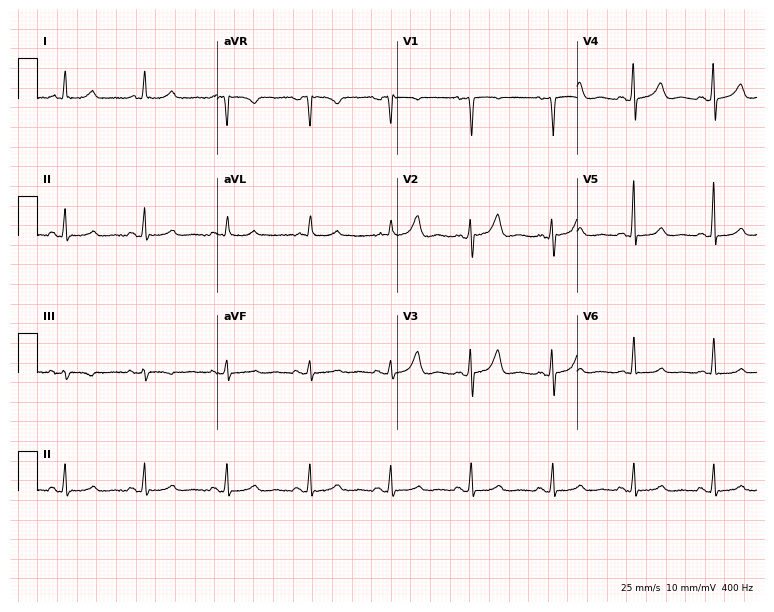
12-lead ECG from a female, 59 years old (7.3-second recording at 400 Hz). Recorded interpretation: within normal limits.